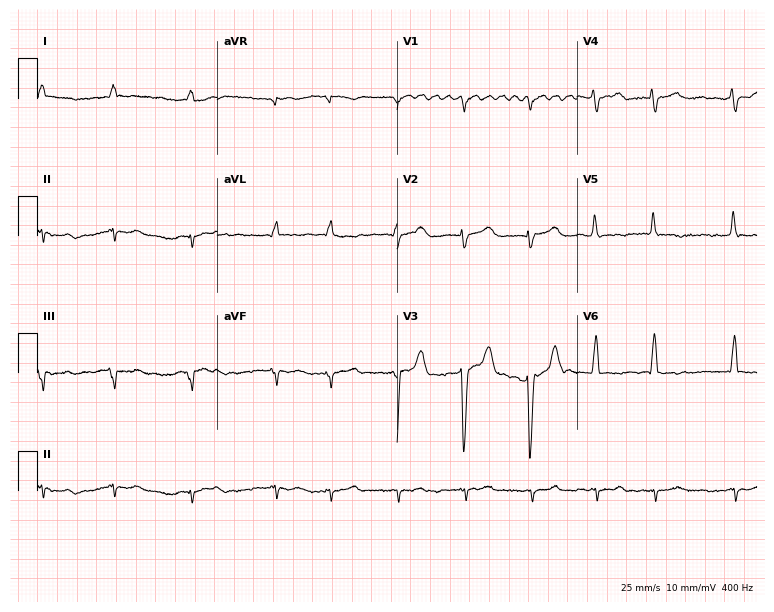
Resting 12-lead electrocardiogram. Patient: a man, 67 years old. The tracing shows atrial fibrillation.